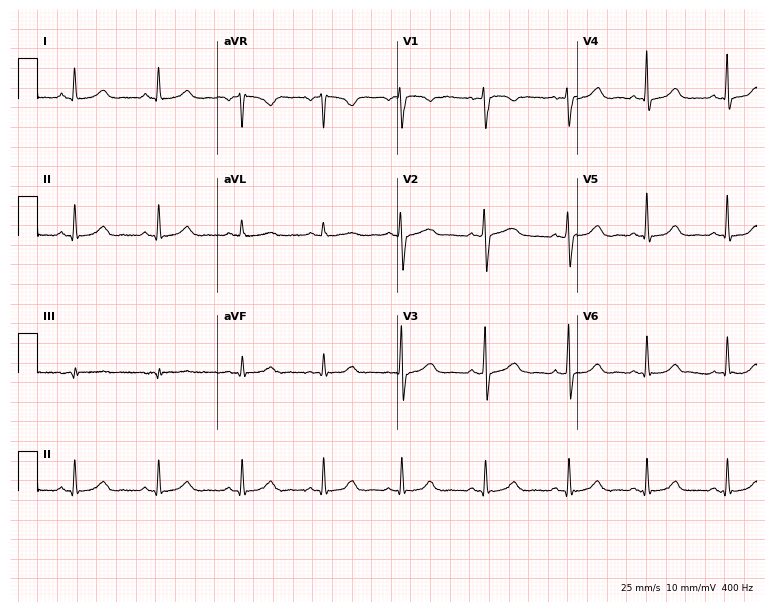
12-lead ECG from a woman, 32 years old (7.3-second recording at 400 Hz). Recorded interpretation: within normal limits.